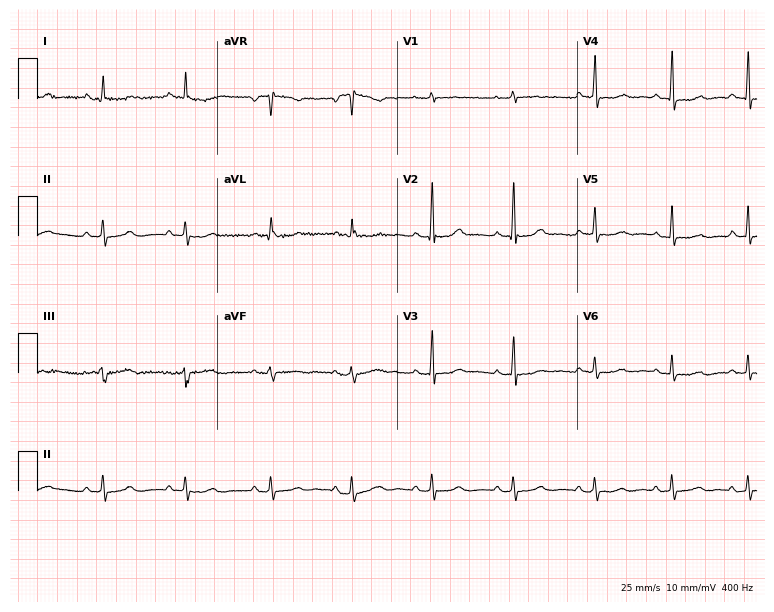
ECG — a female, 53 years old. Screened for six findings — first-degree AV block, right bundle branch block, left bundle branch block, sinus bradycardia, atrial fibrillation, sinus tachycardia — none is recorded.